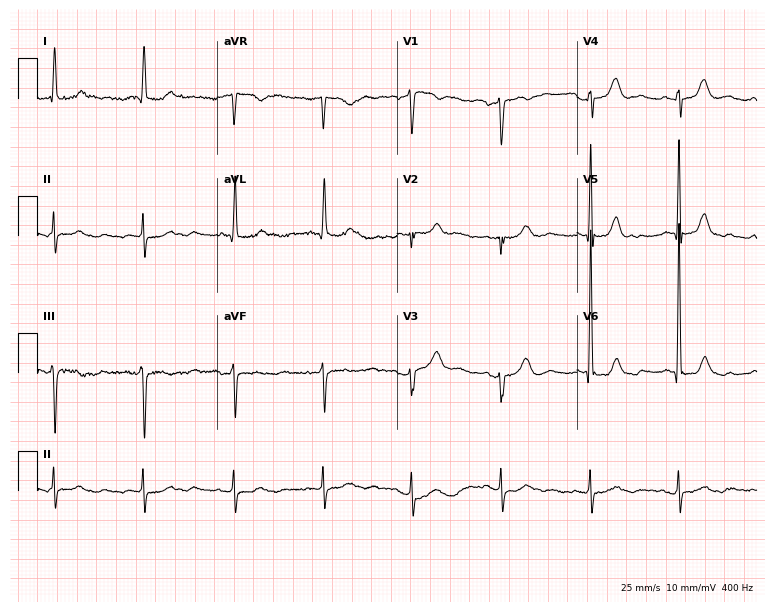
ECG — an 80-year-old woman. Screened for six findings — first-degree AV block, right bundle branch block (RBBB), left bundle branch block (LBBB), sinus bradycardia, atrial fibrillation (AF), sinus tachycardia — none is recorded.